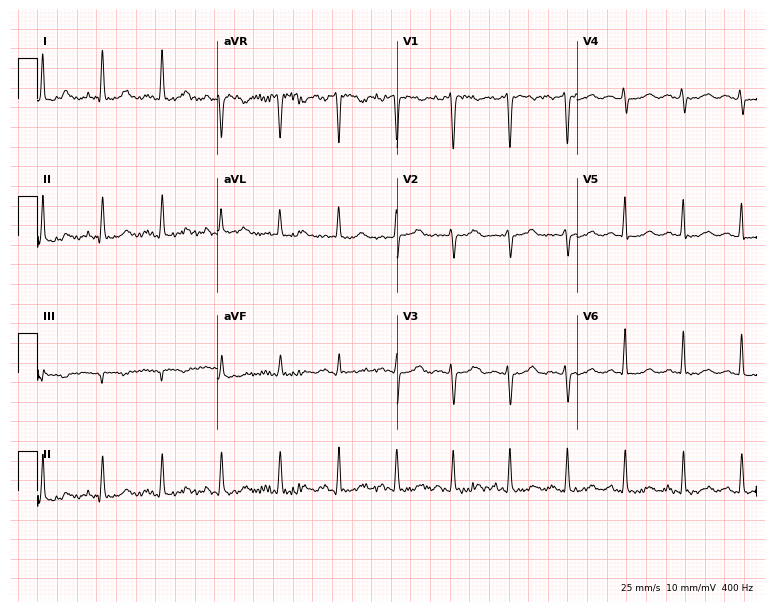
12-lead ECG from a 57-year-old woman. No first-degree AV block, right bundle branch block, left bundle branch block, sinus bradycardia, atrial fibrillation or sinus tachycardia recorded for this tracing.